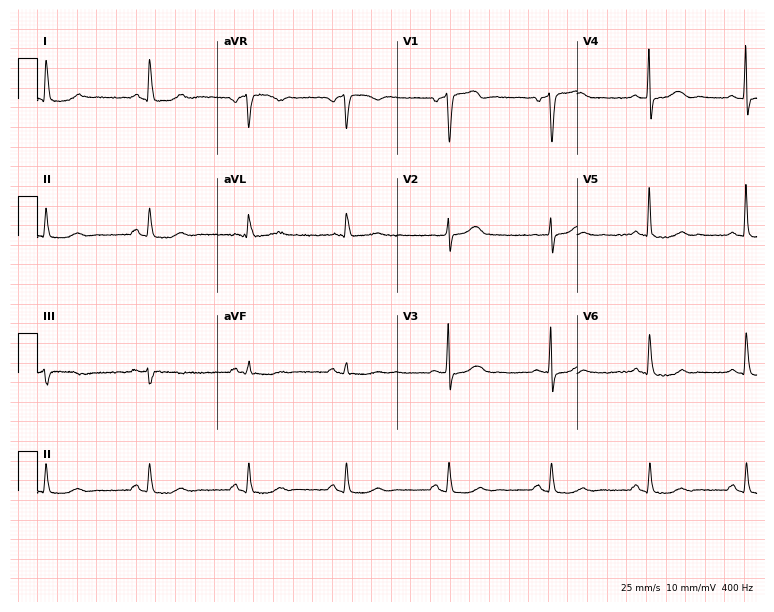
Standard 12-lead ECG recorded from a 60-year-old female patient. None of these six findings is recorded: first-degree AV block, right bundle branch block, left bundle branch block, sinus bradycardia, atrial fibrillation, sinus tachycardia.